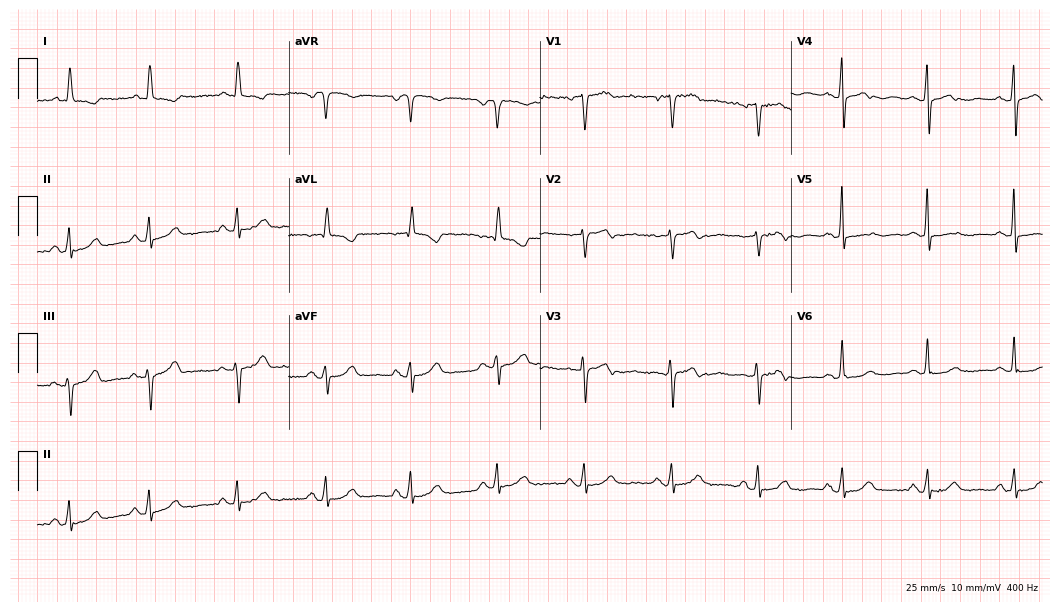
ECG — a 71-year-old female. Screened for six findings — first-degree AV block, right bundle branch block (RBBB), left bundle branch block (LBBB), sinus bradycardia, atrial fibrillation (AF), sinus tachycardia — none is recorded.